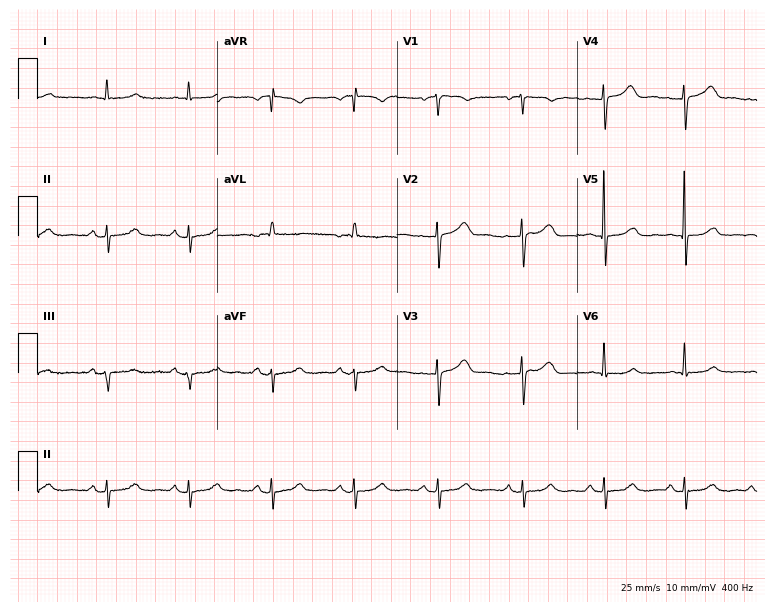
12-lead ECG from a female patient, 64 years old. Screened for six findings — first-degree AV block, right bundle branch block (RBBB), left bundle branch block (LBBB), sinus bradycardia, atrial fibrillation (AF), sinus tachycardia — none is recorded.